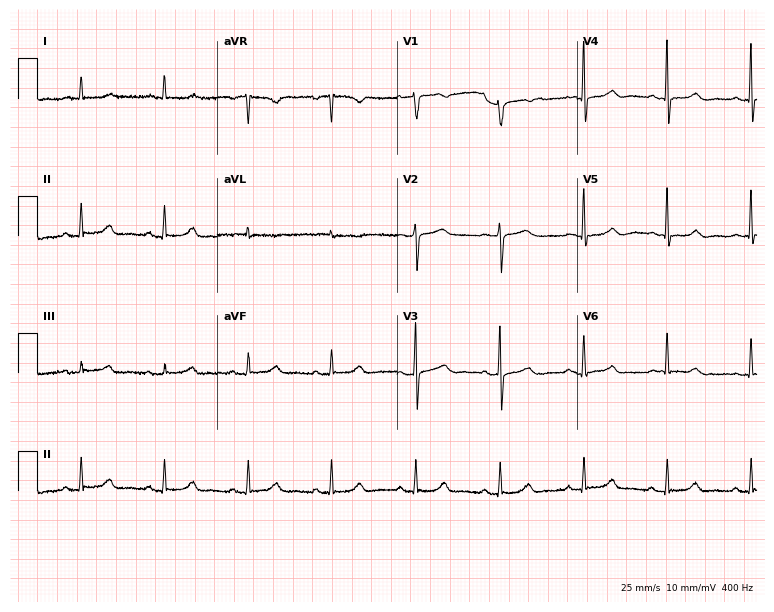
ECG — a 69-year-old female patient. Labelled as a normal ECG.